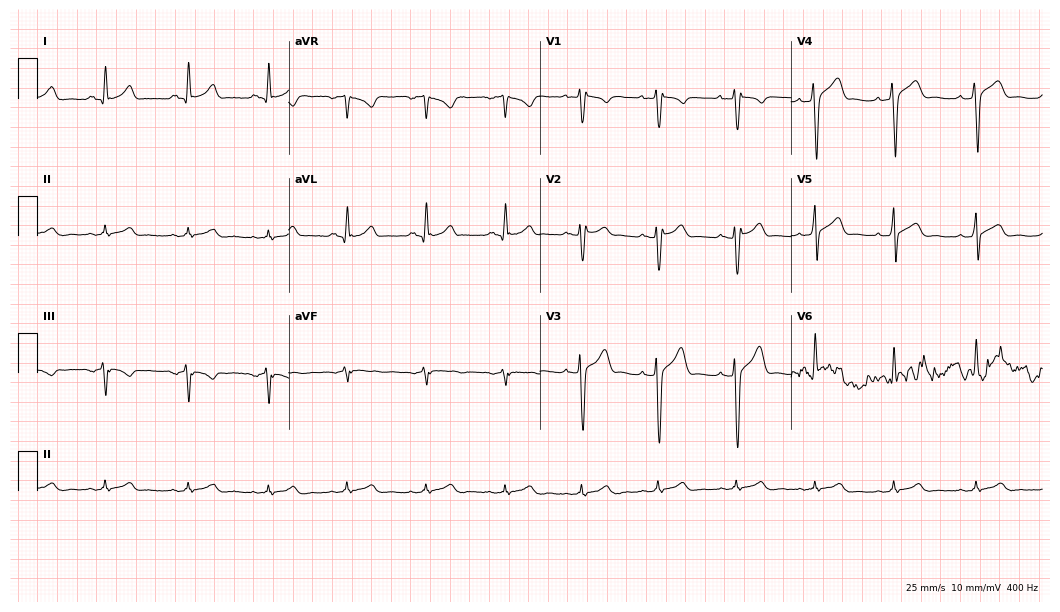
Electrocardiogram (10.2-second recording at 400 Hz), a 25-year-old male. Overall reading on record: normal ECG.